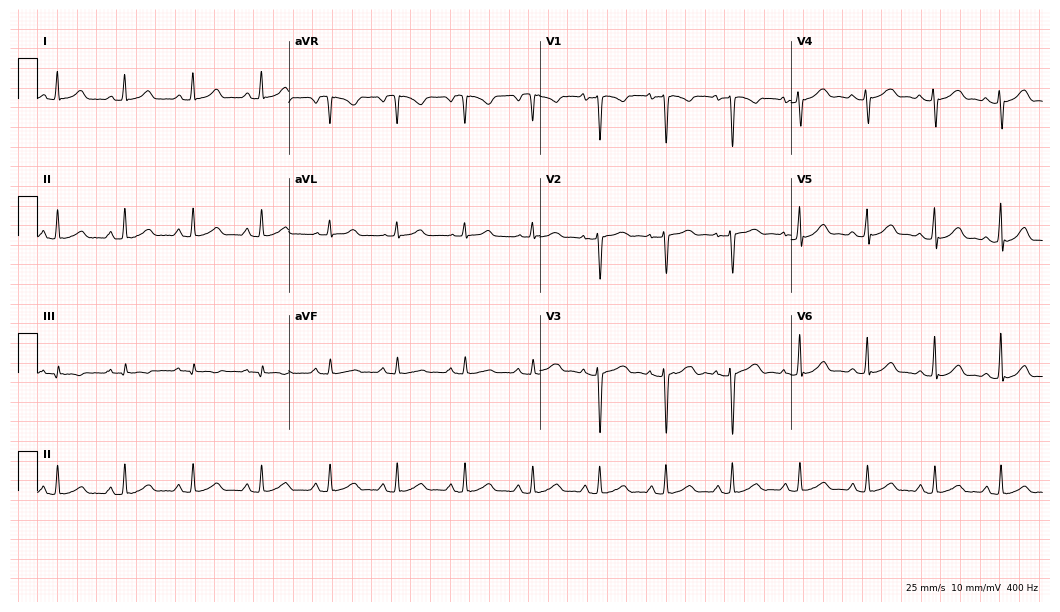
12-lead ECG from an 18-year-old female. Screened for six findings — first-degree AV block, right bundle branch block, left bundle branch block, sinus bradycardia, atrial fibrillation, sinus tachycardia — none is recorded. Findings outside these six are not listed.